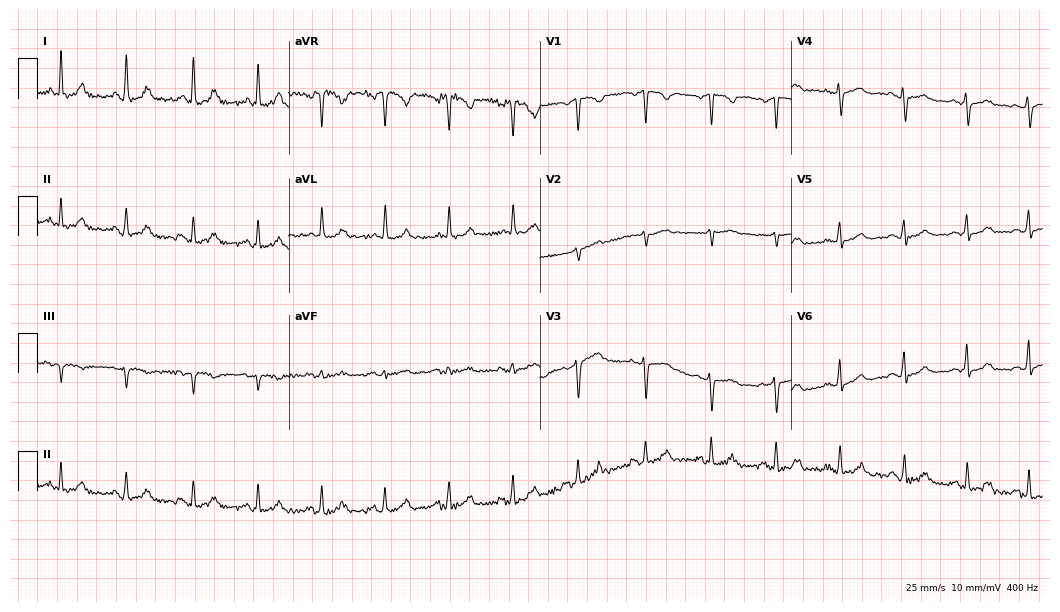
Standard 12-lead ECG recorded from a 40-year-old woman. Read as a normal ECG.